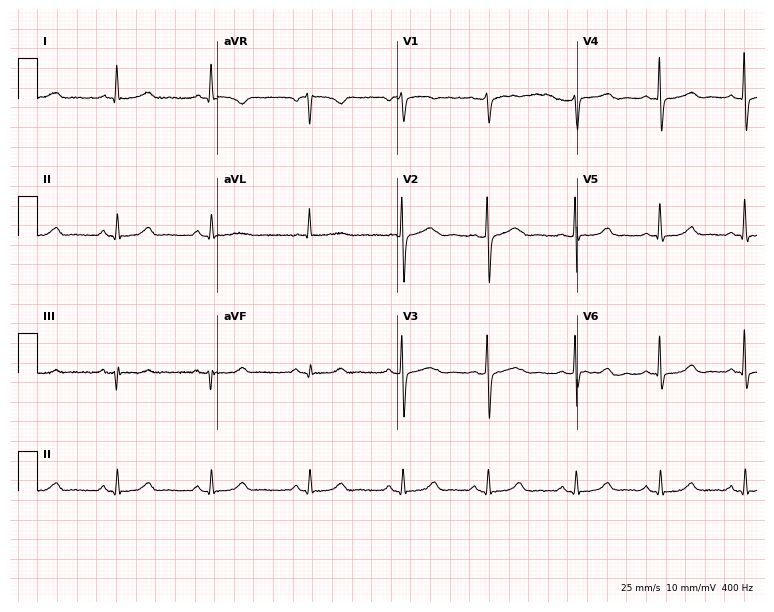
Resting 12-lead electrocardiogram. Patient: a female, 57 years old. Read as a normal ECG.